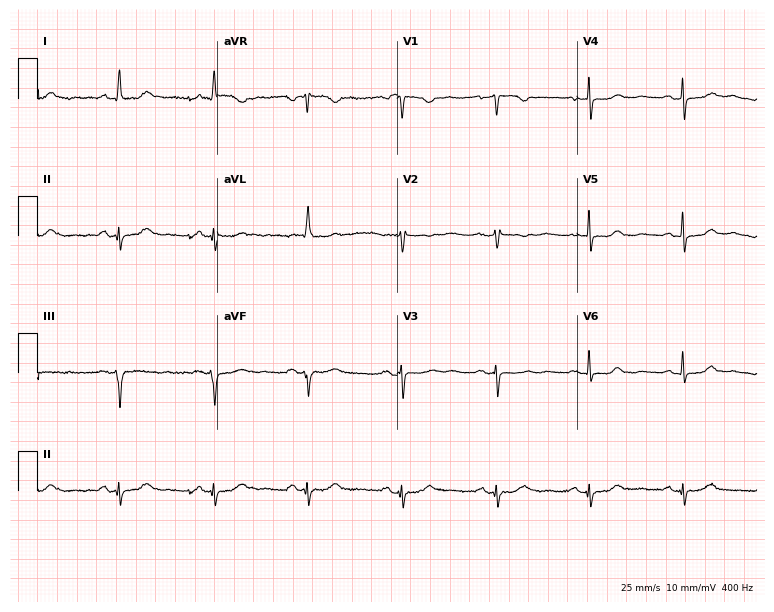
12-lead ECG from a 76-year-old woman. No first-degree AV block, right bundle branch block (RBBB), left bundle branch block (LBBB), sinus bradycardia, atrial fibrillation (AF) or sinus tachycardia recorded for this tracing. Only these six findings were labelled.